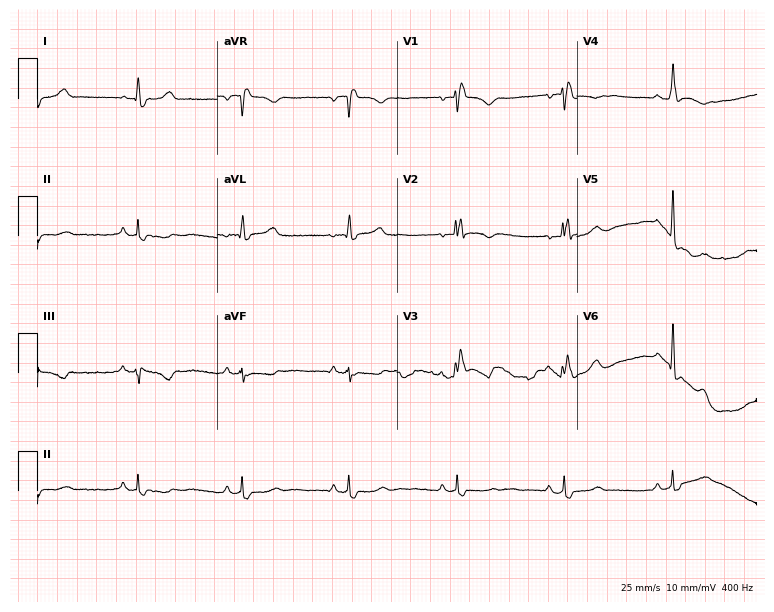
Resting 12-lead electrocardiogram. Patient: a woman, 38 years old. The tracing shows right bundle branch block.